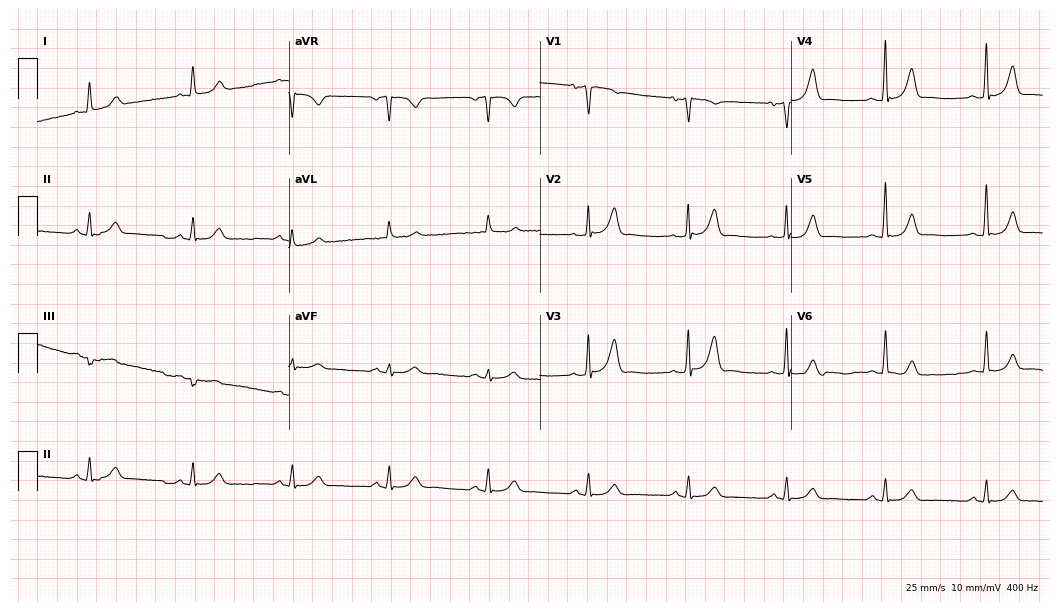
12-lead ECG from a male, 61 years old (10.2-second recording at 400 Hz). Recorded interpretation: within normal limits.